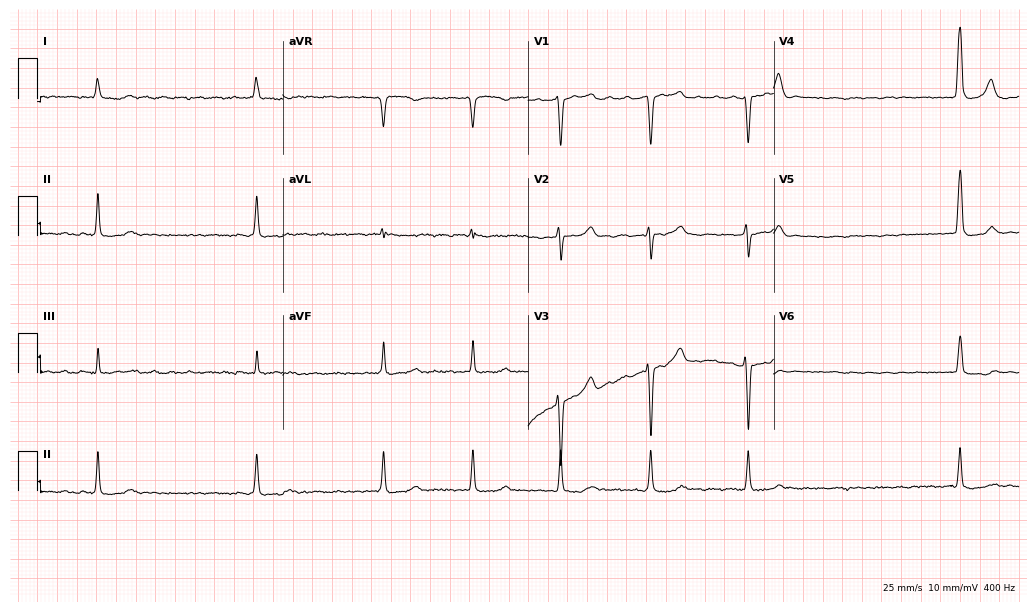
ECG — a male patient, 73 years old. Findings include atrial fibrillation (AF).